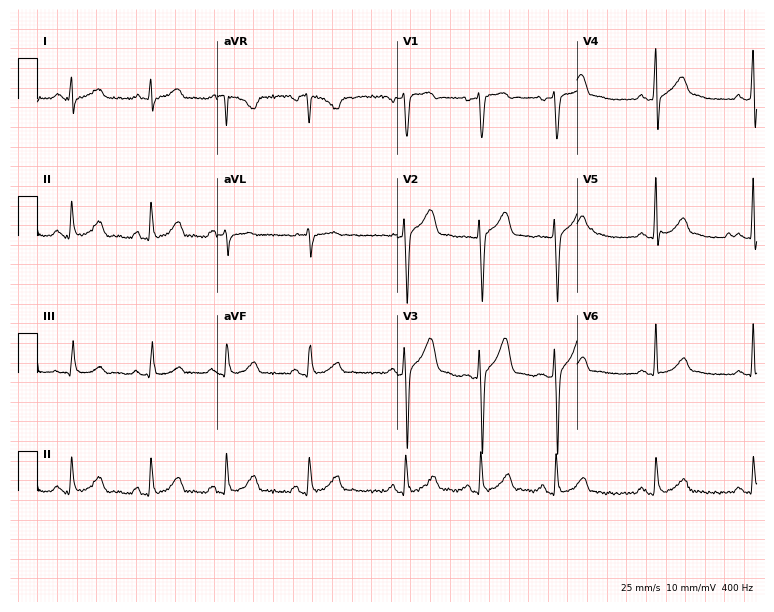
Standard 12-lead ECG recorded from a 24-year-old male patient. Read as a normal ECG.